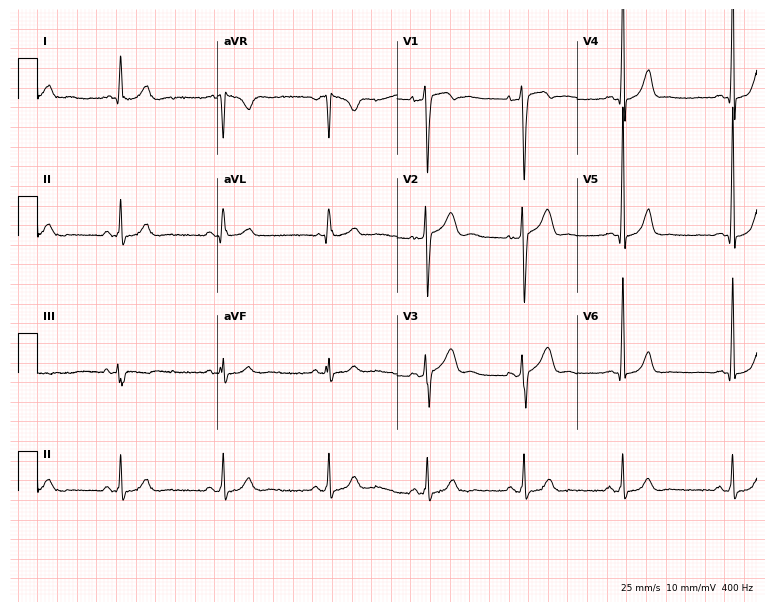
Electrocardiogram, a 24-year-old man. Of the six screened findings (first-degree AV block, right bundle branch block (RBBB), left bundle branch block (LBBB), sinus bradycardia, atrial fibrillation (AF), sinus tachycardia), none is recorded.